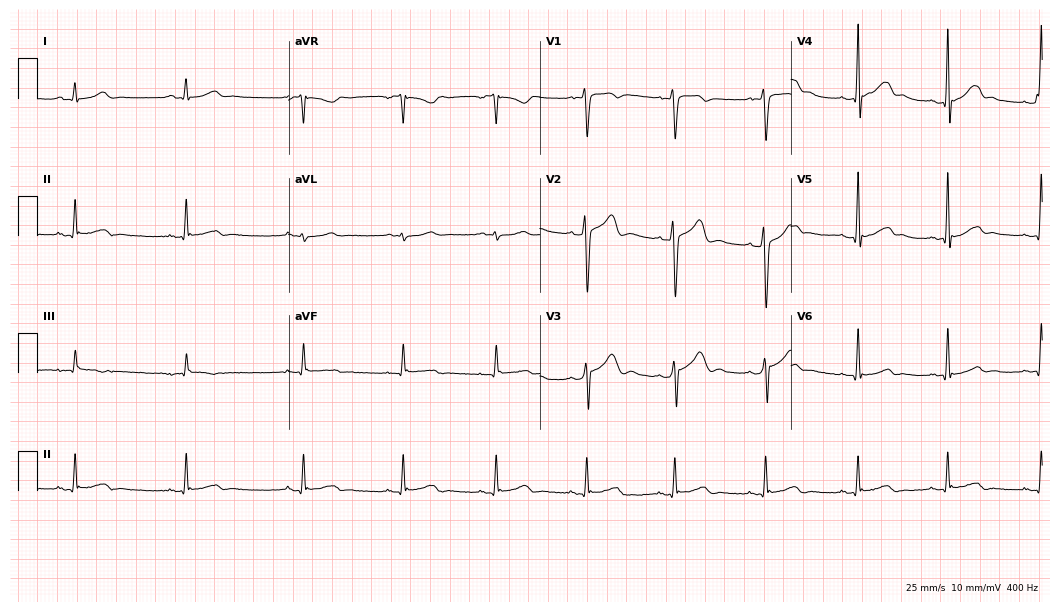
Electrocardiogram (10.2-second recording at 400 Hz), a 23-year-old male. Of the six screened findings (first-degree AV block, right bundle branch block (RBBB), left bundle branch block (LBBB), sinus bradycardia, atrial fibrillation (AF), sinus tachycardia), none is recorded. Findings outside these six are not listed.